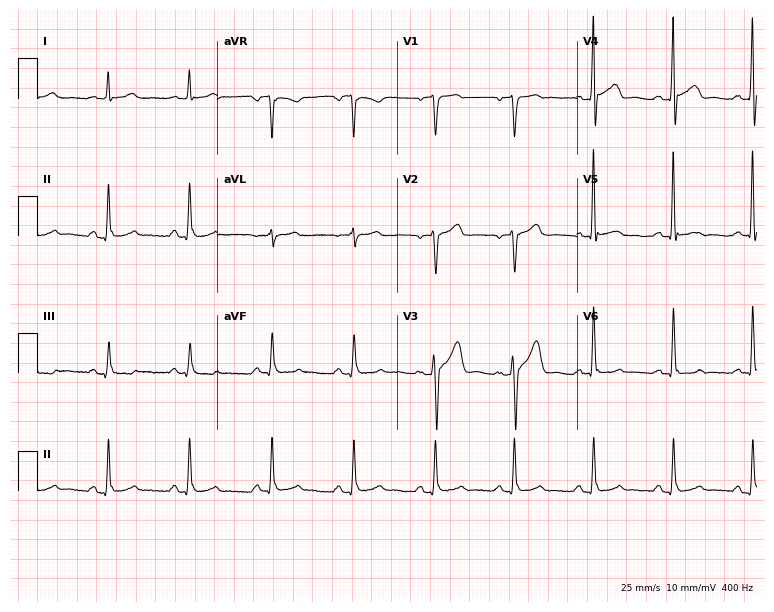
12-lead ECG (7.3-second recording at 400 Hz) from a 42-year-old male patient. Labelled as a normal ECG.